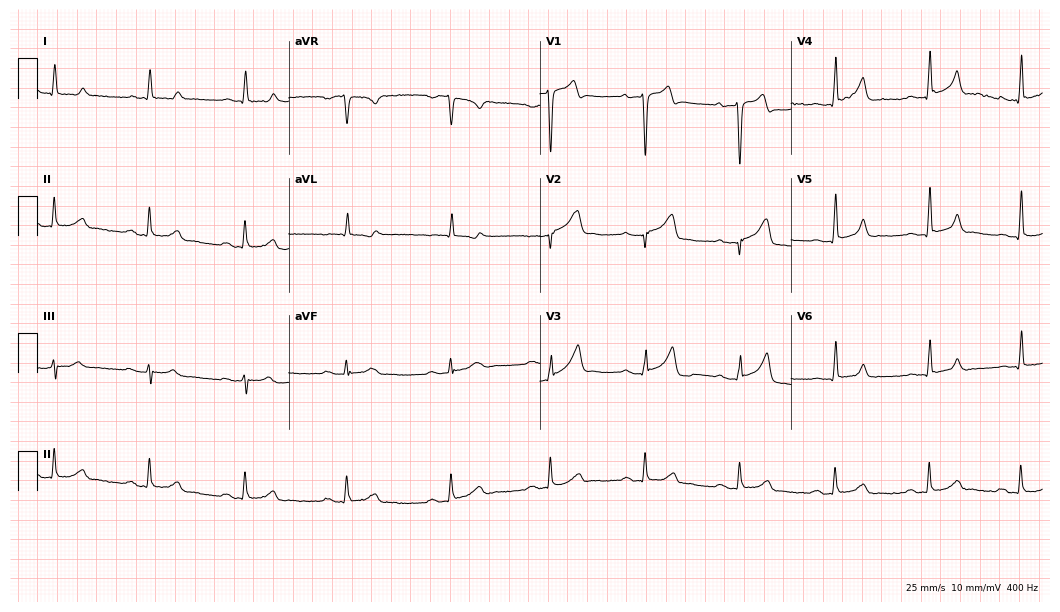
Standard 12-lead ECG recorded from a male patient, 68 years old. Read as a normal ECG.